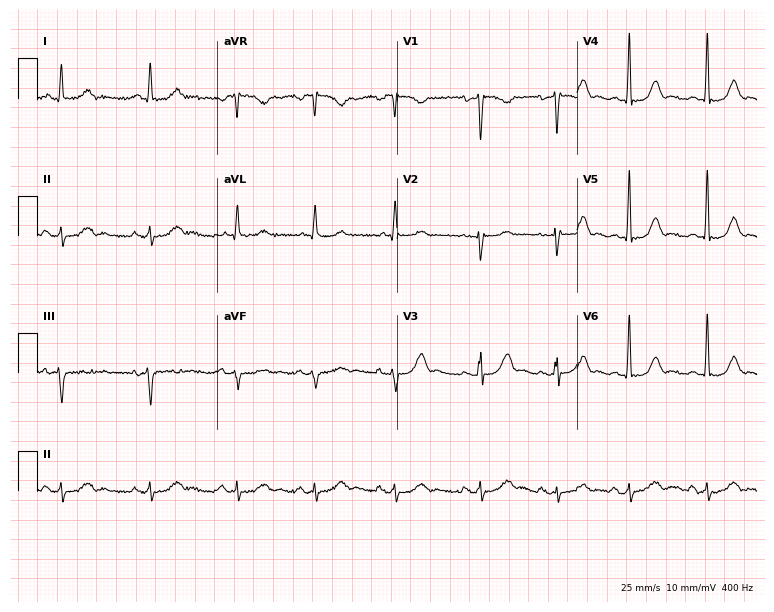
ECG (7.3-second recording at 400 Hz) — a female patient, 33 years old. Labelled as a normal ECG.